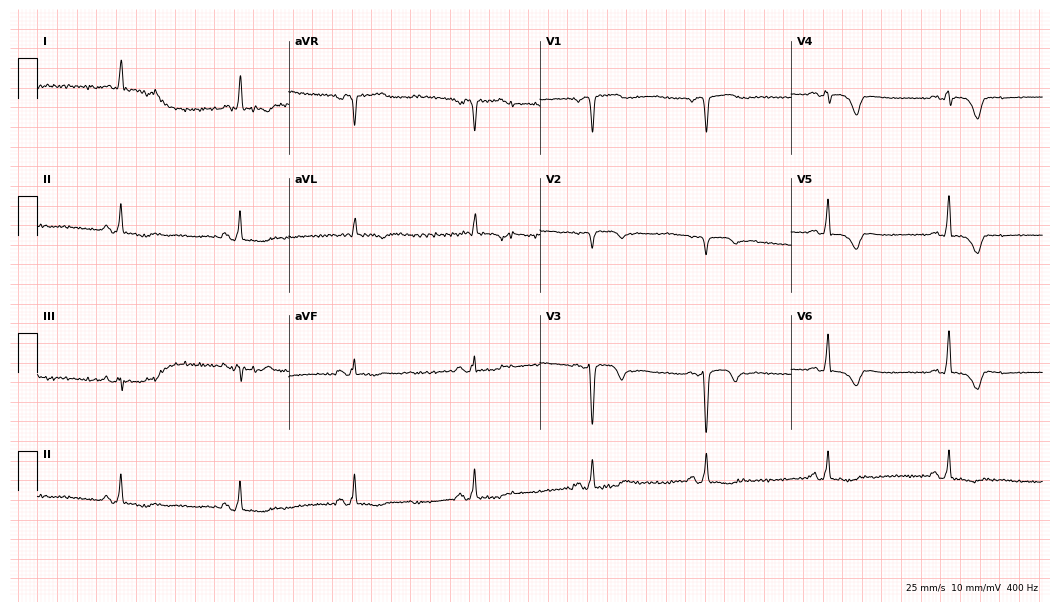
12-lead ECG from a 71-year-old female patient. Screened for six findings — first-degree AV block, right bundle branch block, left bundle branch block, sinus bradycardia, atrial fibrillation, sinus tachycardia — none is recorded.